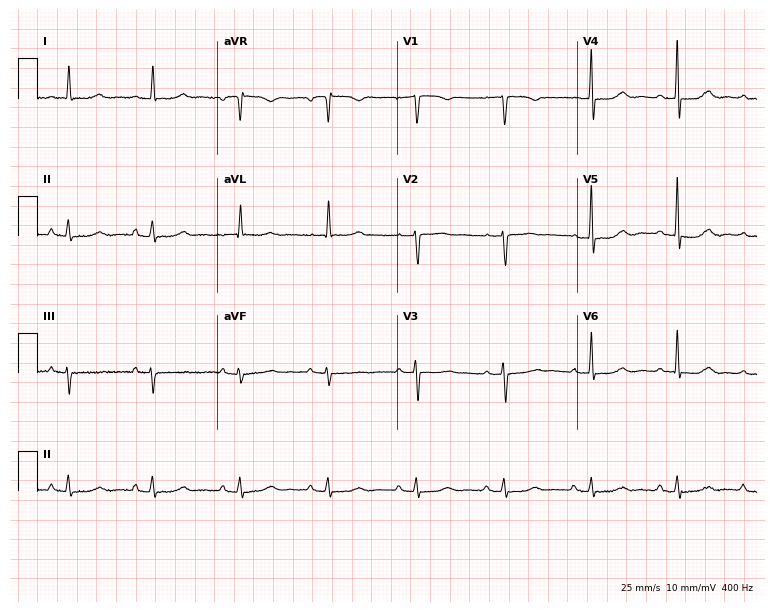
Standard 12-lead ECG recorded from a female, 77 years old. Read as a normal ECG.